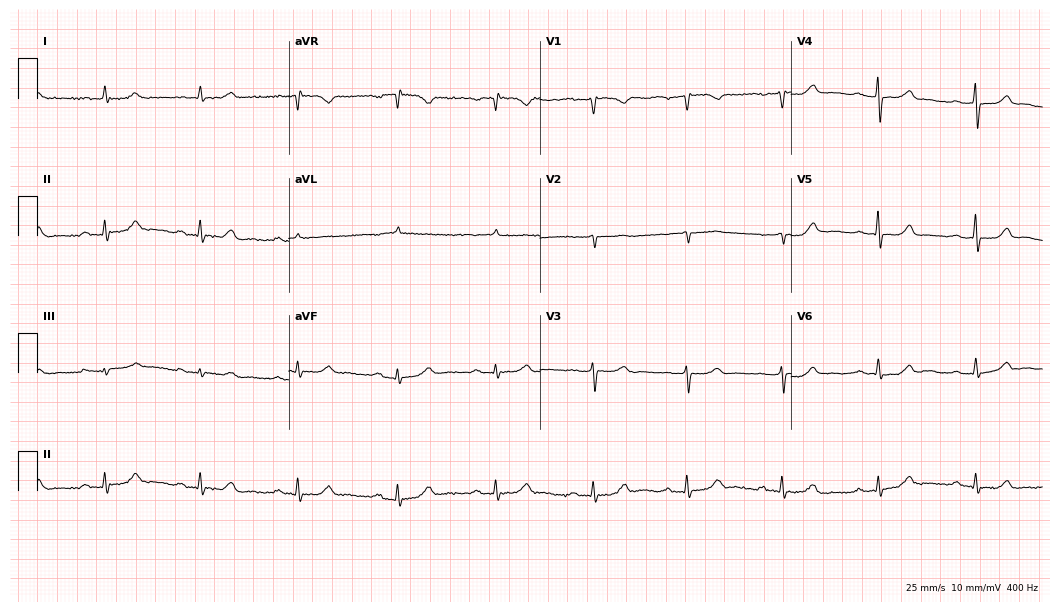
Electrocardiogram, a woman, 63 years old. Interpretation includes first-degree AV block.